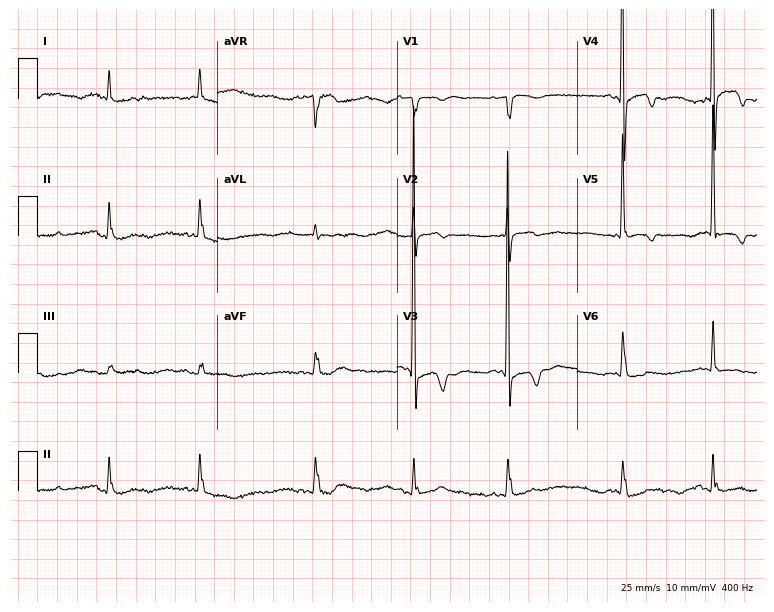
Resting 12-lead electrocardiogram. Patient: an 81-year-old female. None of these six findings is recorded: first-degree AV block, right bundle branch block, left bundle branch block, sinus bradycardia, atrial fibrillation, sinus tachycardia. Findings outside these six are not listed.